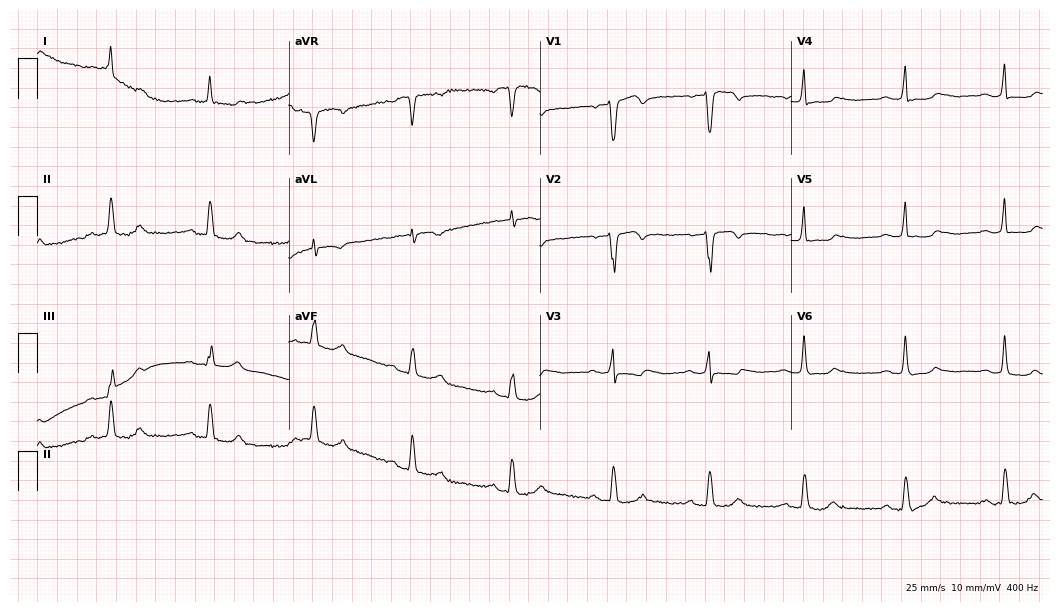
ECG — a 65-year-old male patient. Findings include first-degree AV block.